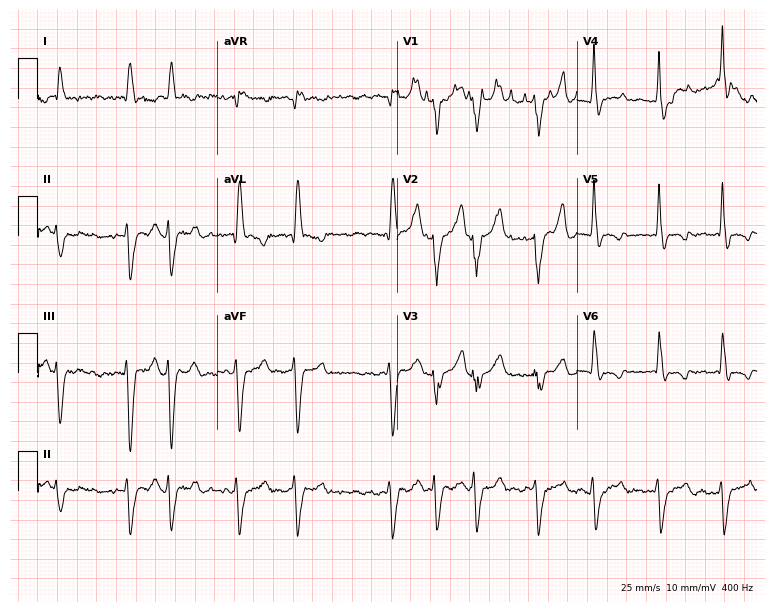
Electrocardiogram (7.3-second recording at 400 Hz), a 50-year-old male patient. Interpretation includes atrial fibrillation.